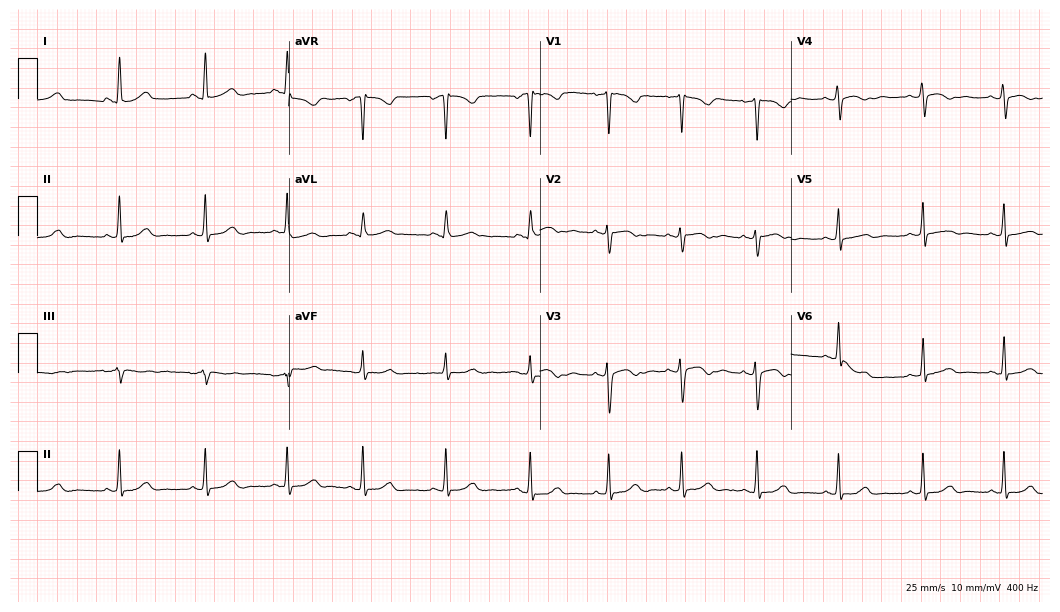
Standard 12-lead ECG recorded from a 20-year-old woman (10.2-second recording at 400 Hz). Read as a normal ECG.